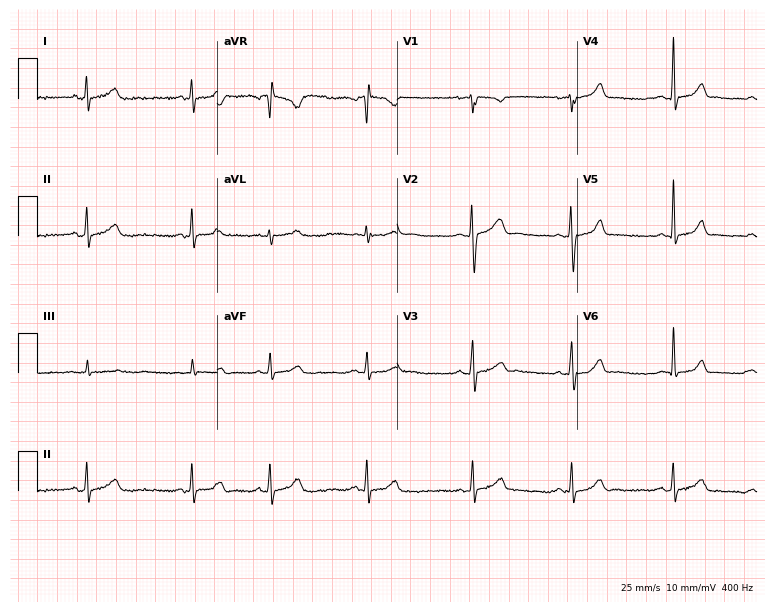
ECG (7.3-second recording at 400 Hz) — a 25-year-old female patient. Screened for six findings — first-degree AV block, right bundle branch block, left bundle branch block, sinus bradycardia, atrial fibrillation, sinus tachycardia — none is recorded.